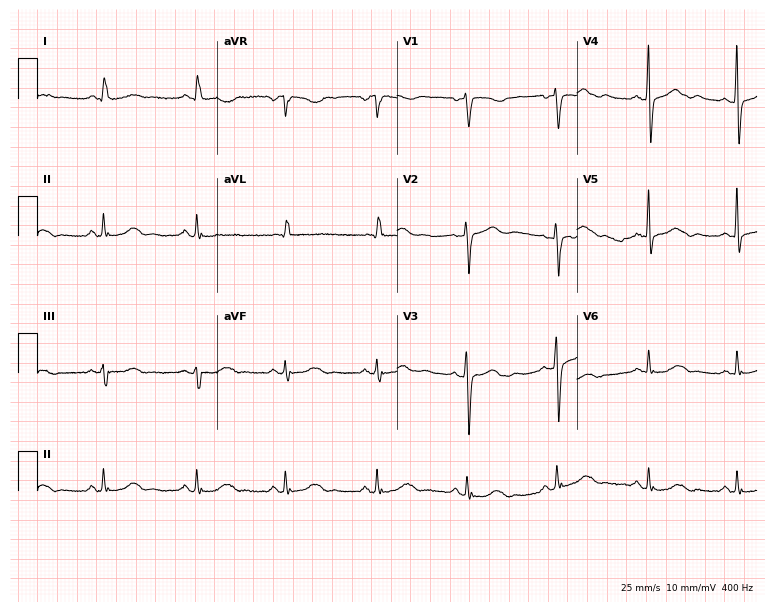
12-lead ECG from a woman, 54 years old. Labelled as a normal ECG.